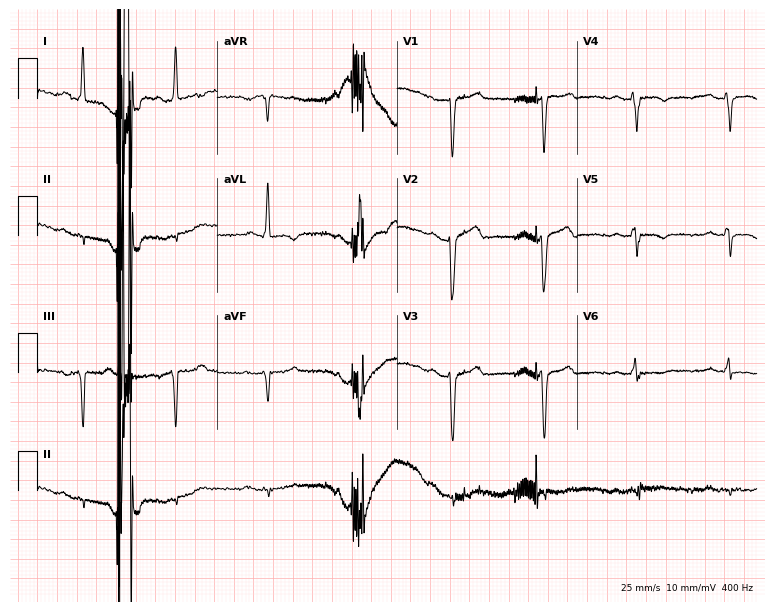
12-lead ECG (7.3-second recording at 400 Hz) from a male patient, 75 years old. Screened for six findings — first-degree AV block, right bundle branch block, left bundle branch block, sinus bradycardia, atrial fibrillation, sinus tachycardia — none is recorded.